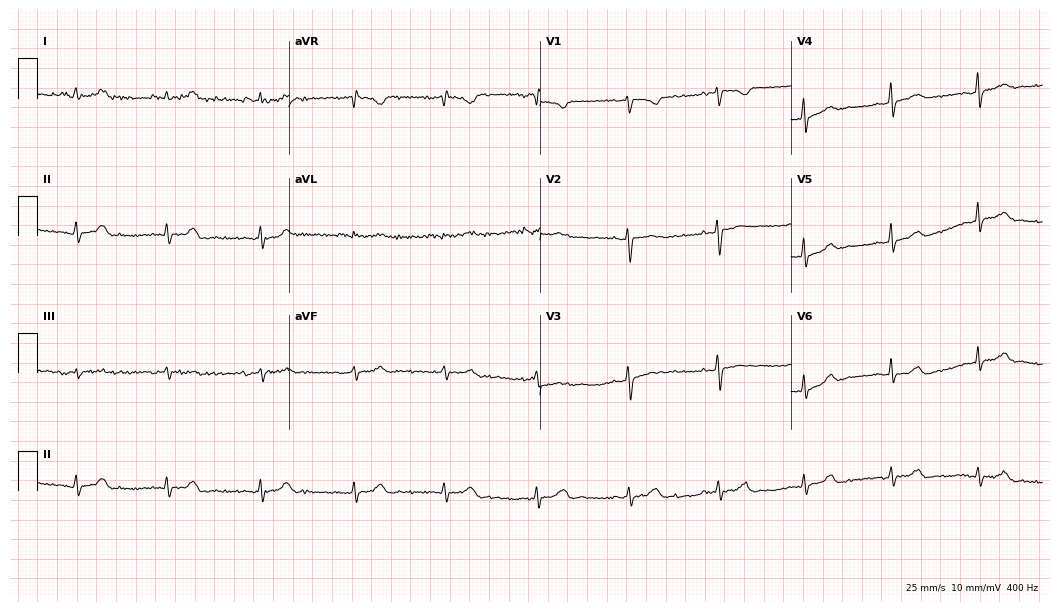
12-lead ECG from a female patient, 45 years old. No first-degree AV block, right bundle branch block (RBBB), left bundle branch block (LBBB), sinus bradycardia, atrial fibrillation (AF) or sinus tachycardia recorded for this tracing.